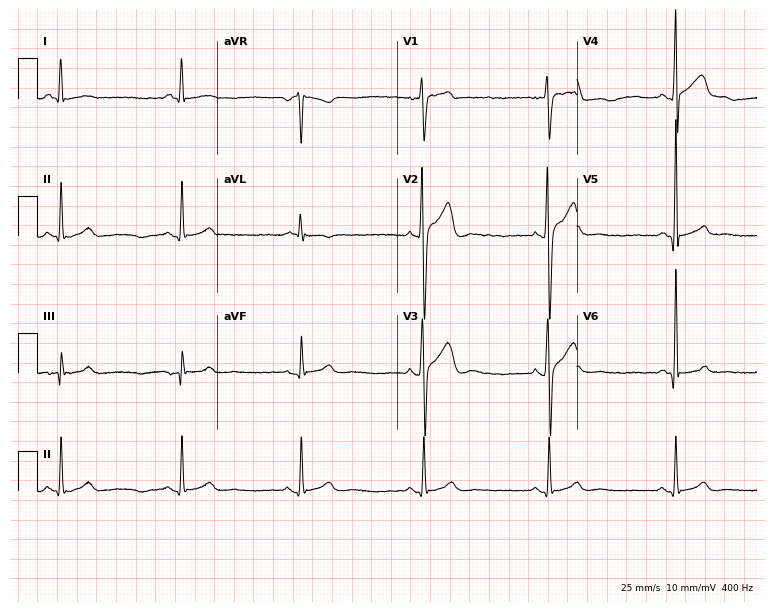
ECG — a 31-year-old male patient. Findings include sinus bradycardia (a sinus rate of 50 beats per minute or less).